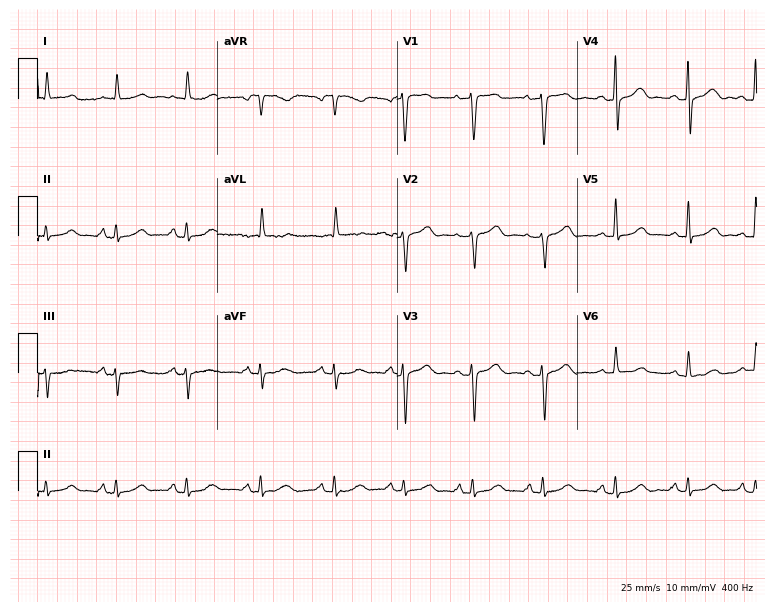
12-lead ECG (7.3-second recording at 400 Hz) from a 74-year-old female patient. Screened for six findings — first-degree AV block, right bundle branch block, left bundle branch block, sinus bradycardia, atrial fibrillation, sinus tachycardia — none is recorded.